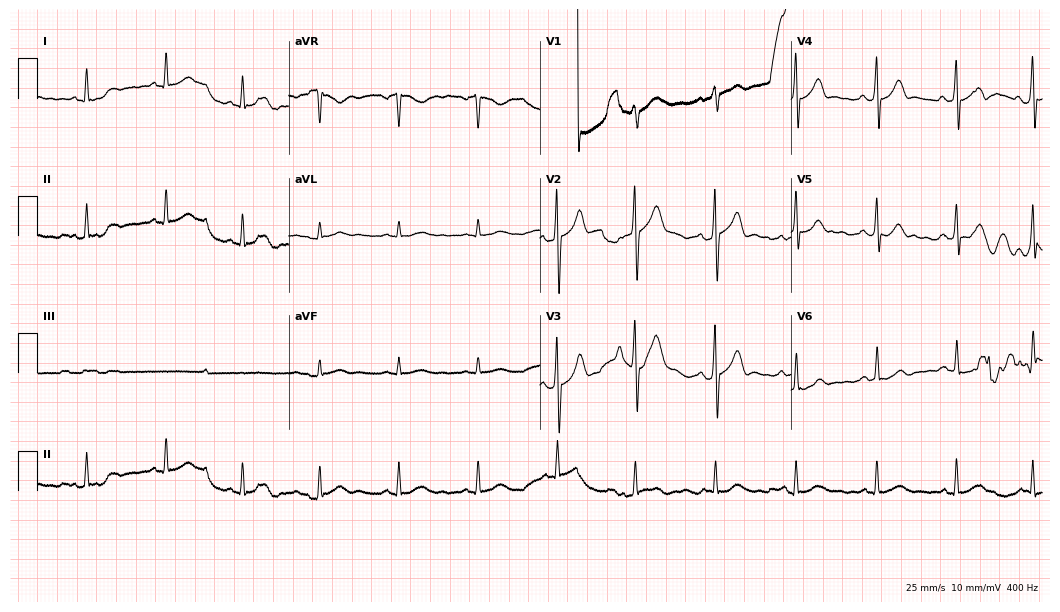
Resting 12-lead electrocardiogram (10.2-second recording at 400 Hz). Patient: a male, 57 years old. Read as a normal ECG.